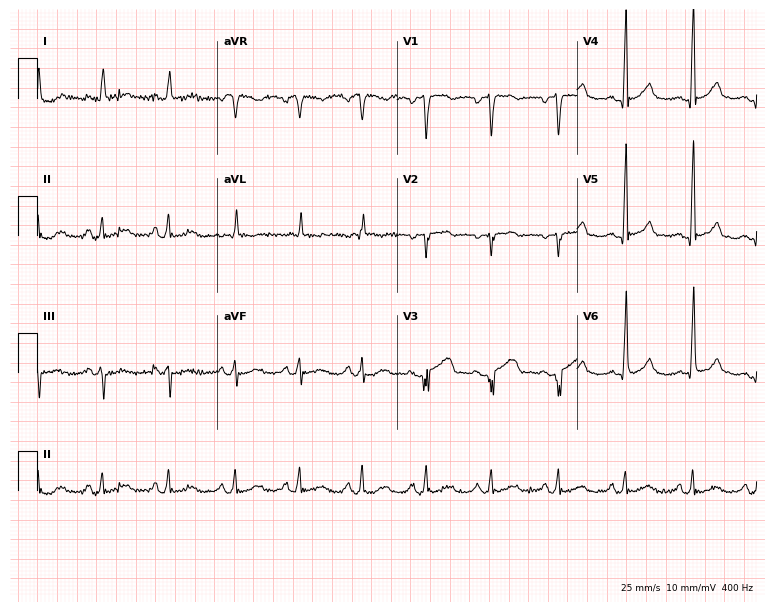
Standard 12-lead ECG recorded from a male, 56 years old (7.3-second recording at 400 Hz). None of these six findings is recorded: first-degree AV block, right bundle branch block, left bundle branch block, sinus bradycardia, atrial fibrillation, sinus tachycardia. Findings outside these six are not listed.